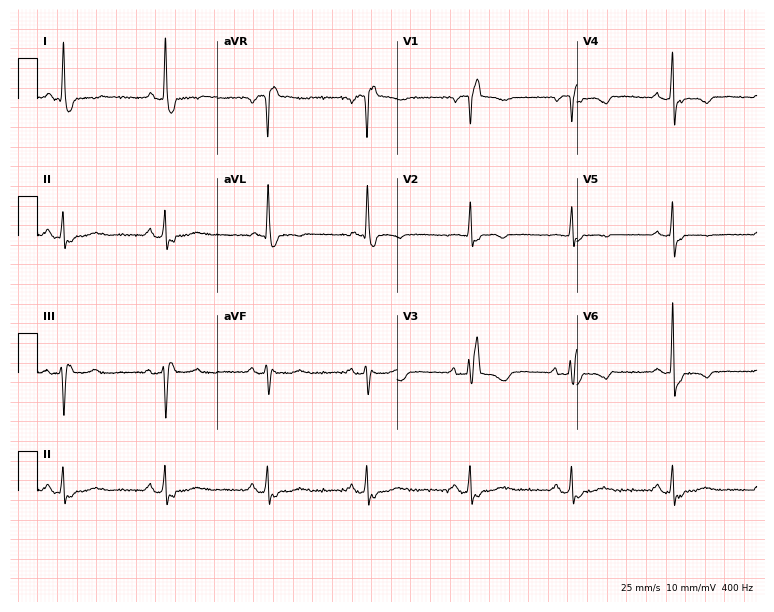
12-lead ECG from a 69-year-old woman. Shows right bundle branch block.